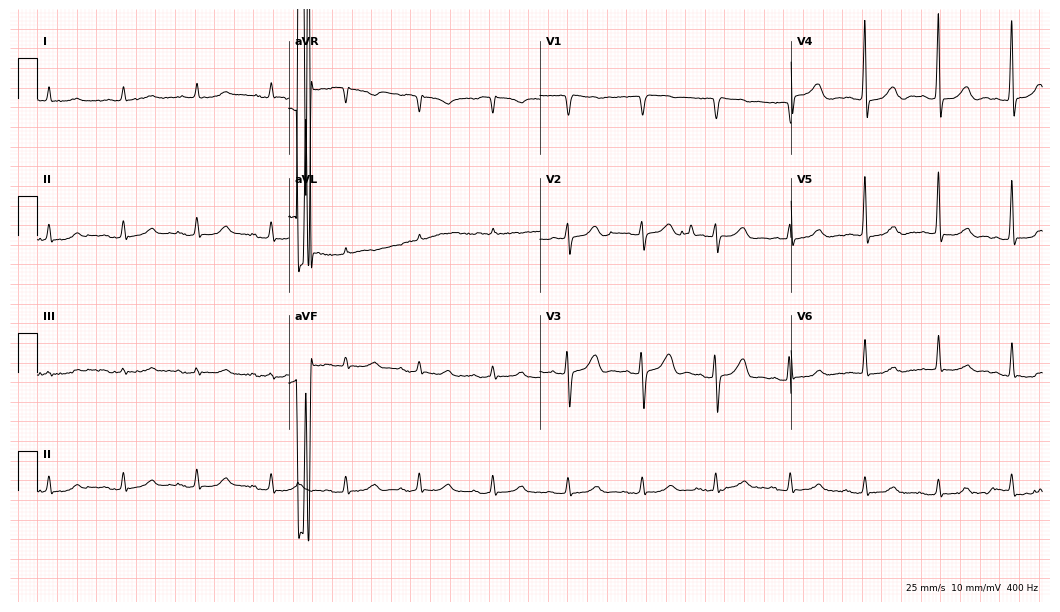
12-lead ECG from a male, 83 years old. No first-degree AV block, right bundle branch block (RBBB), left bundle branch block (LBBB), sinus bradycardia, atrial fibrillation (AF) or sinus tachycardia recorded for this tracing. Findings outside these six are not listed.